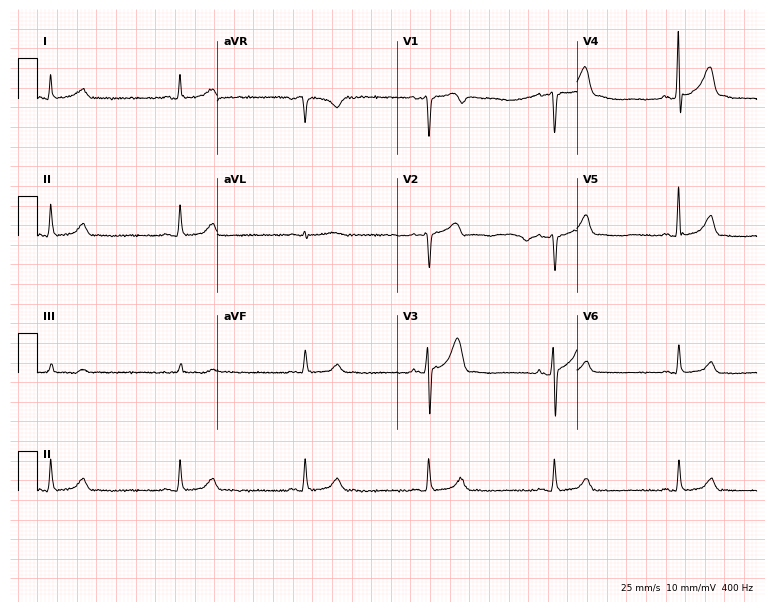
12-lead ECG from a 58-year-old male. Findings include sinus bradycardia (a sinus rate of 50 beats per minute or less).